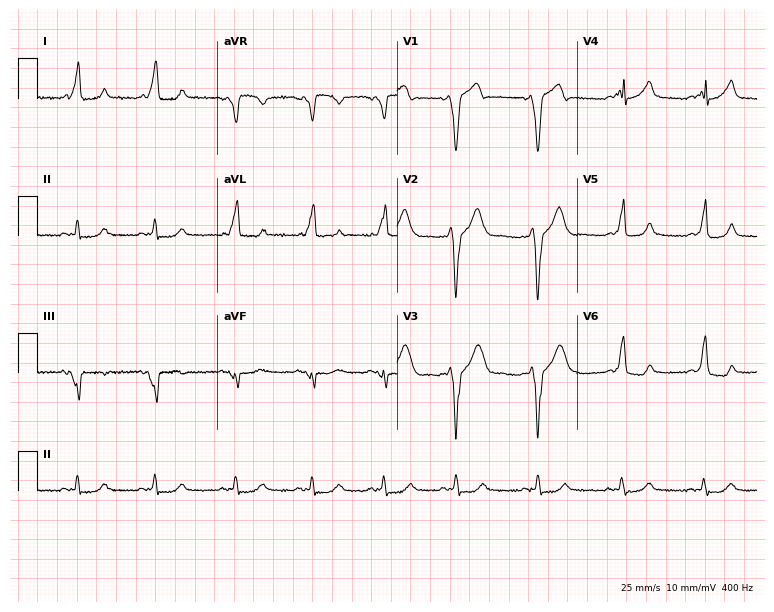
ECG (7.3-second recording at 400 Hz) — a female, 37 years old. Screened for six findings — first-degree AV block, right bundle branch block, left bundle branch block, sinus bradycardia, atrial fibrillation, sinus tachycardia — none is recorded. Other findings, if any, are not listed.